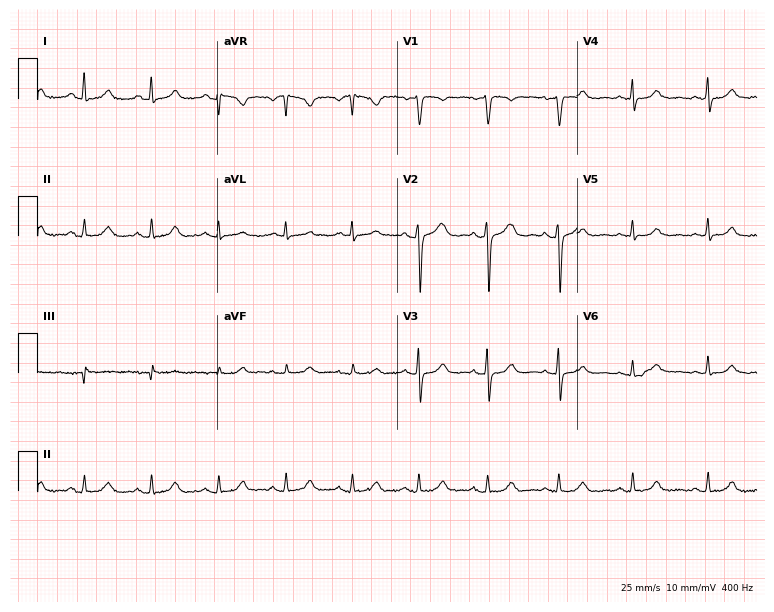
12-lead ECG from a 51-year-old female (7.3-second recording at 400 Hz). Recorded interpretation: within normal limits.